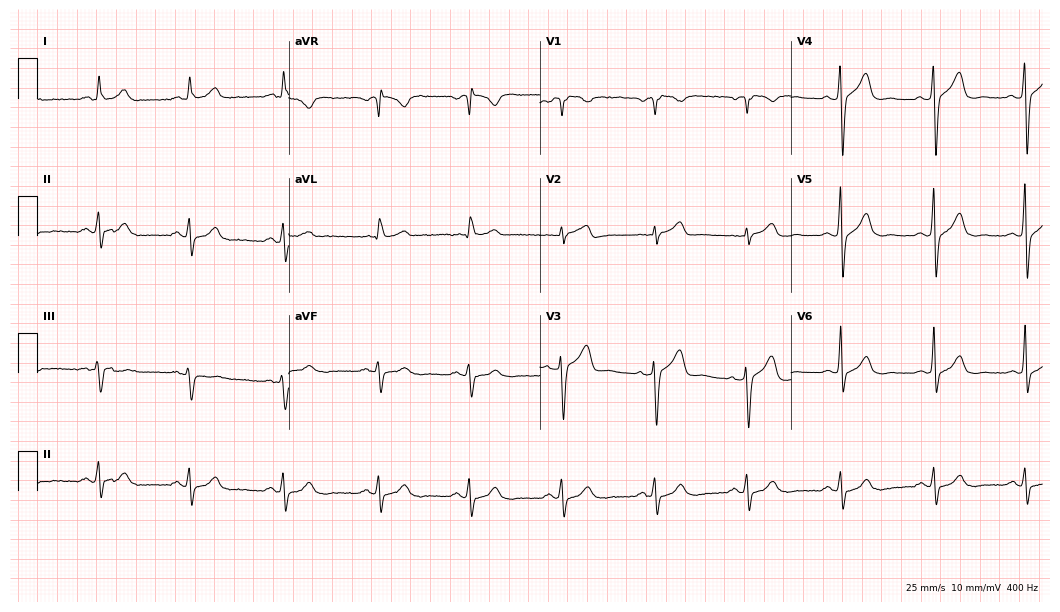
Resting 12-lead electrocardiogram (10.2-second recording at 400 Hz). Patient: a male, 56 years old. Read as a normal ECG.